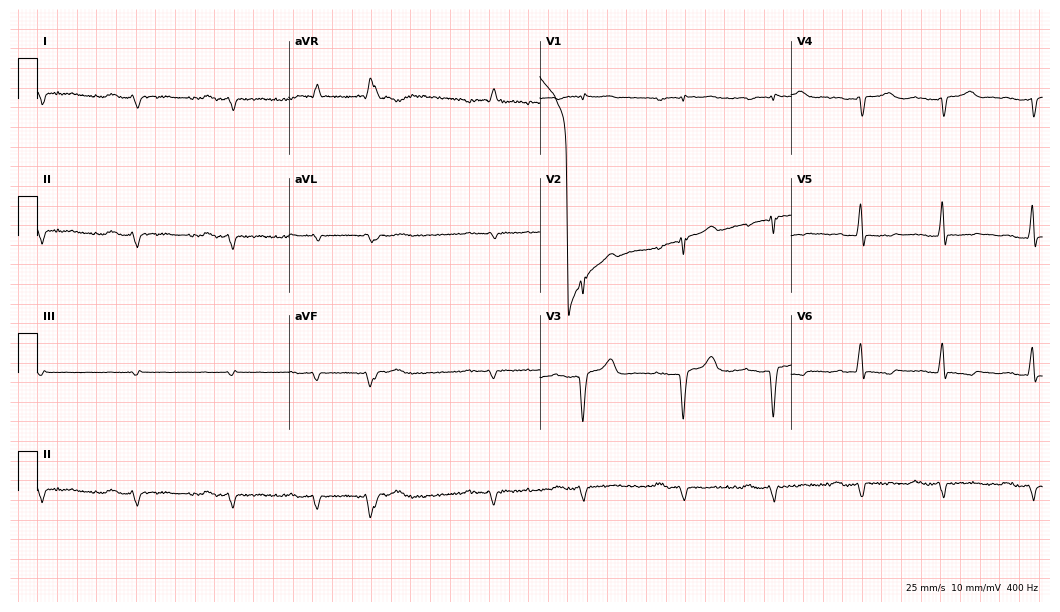
Standard 12-lead ECG recorded from a 65-year-old male patient. None of these six findings is recorded: first-degree AV block, right bundle branch block (RBBB), left bundle branch block (LBBB), sinus bradycardia, atrial fibrillation (AF), sinus tachycardia. Other findings, if any, are not listed.